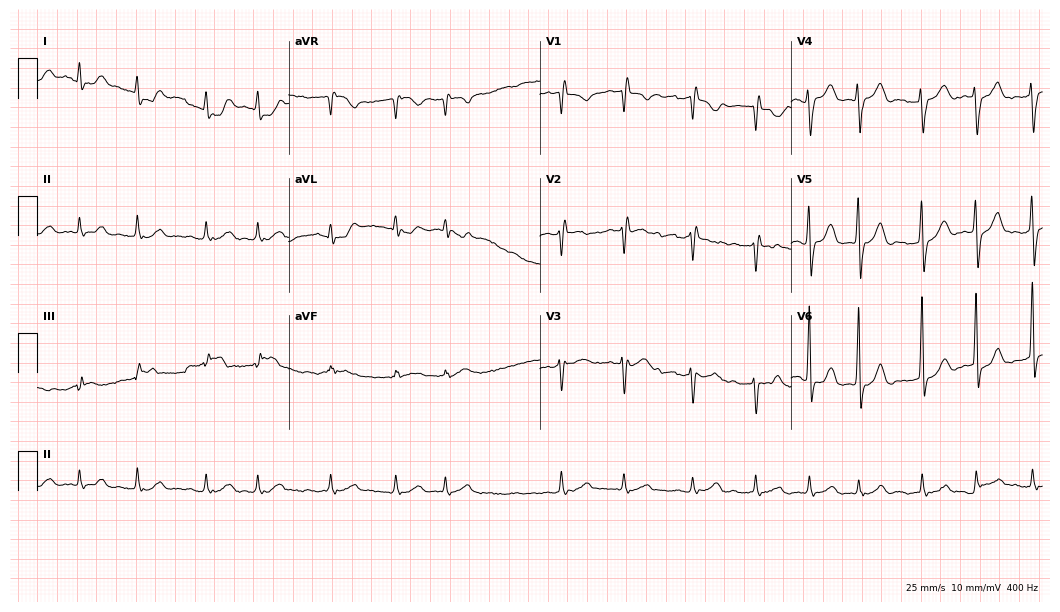
Resting 12-lead electrocardiogram (10.2-second recording at 400 Hz). Patient: a male, 69 years old. None of these six findings is recorded: first-degree AV block, right bundle branch block, left bundle branch block, sinus bradycardia, atrial fibrillation, sinus tachycardia. Findings outside these six are not listed.